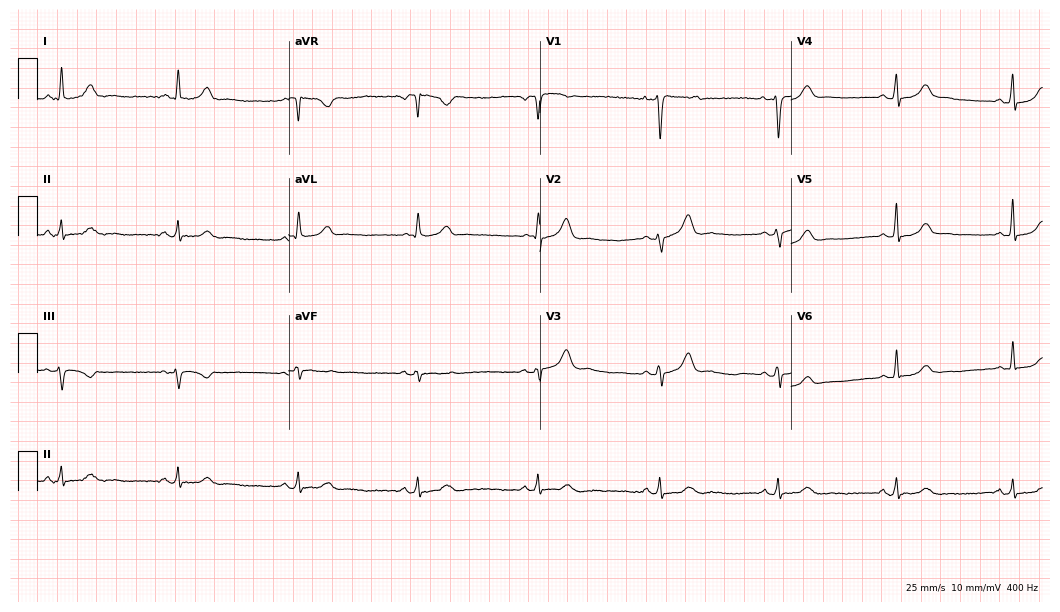
ECG — a 46-year-old female patient. Labelled as a normal ECG.